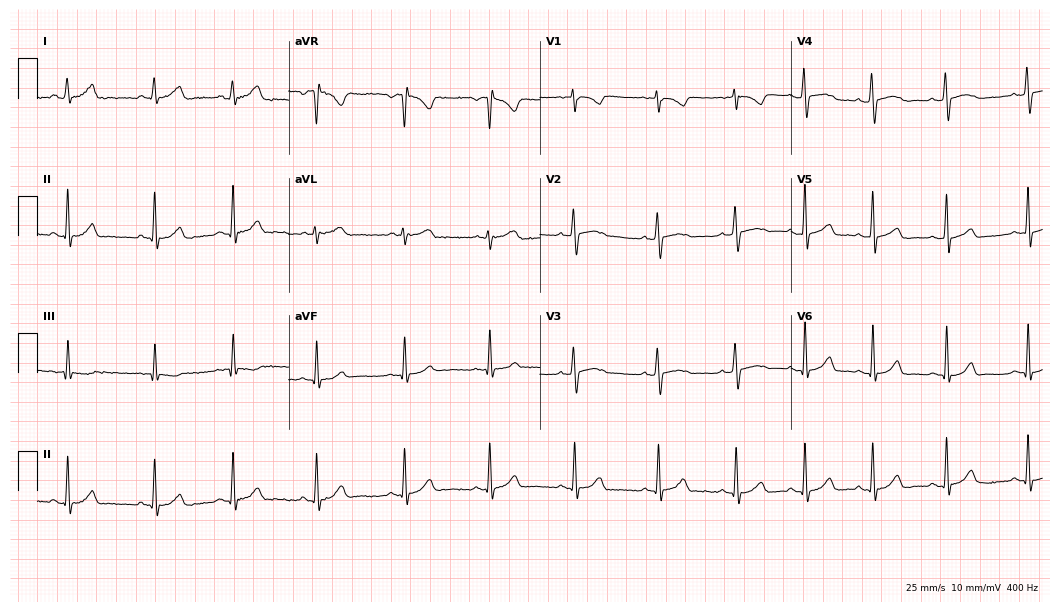
ECG — a female, 20 years old. Screened for six findings — first-degree AV block, right bundle branch block, left bundle branch block, sinus bradycardia, atrial fibrillation, sinus tachycardia — none is recorded.